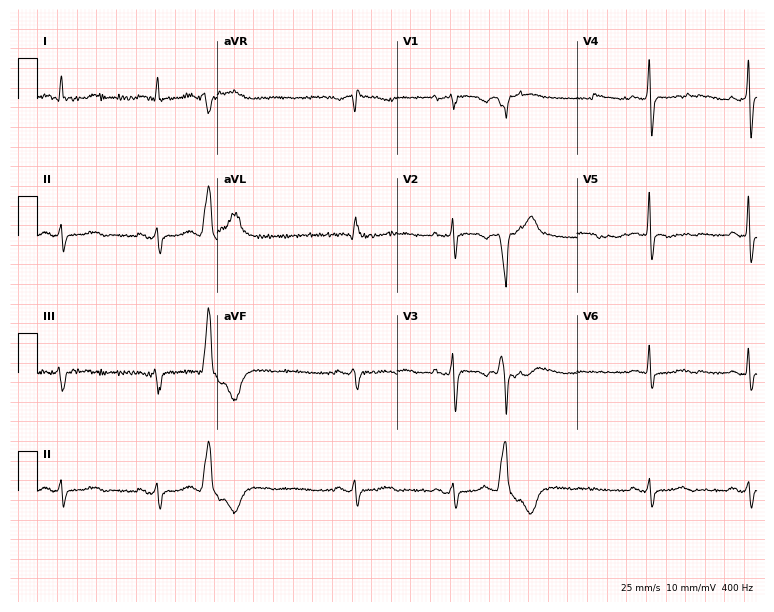
Resting 12-lead electrocardiogram. Patient: a 67-year-old male. None of these six findings is recorded: first-degree AV block, right bundle branch block (RBBB), left bundle branch block (LBBB), sinus bradycardia, atrial fibrillation (AF), sinus tachycardia. Findings outside these six are not listed.